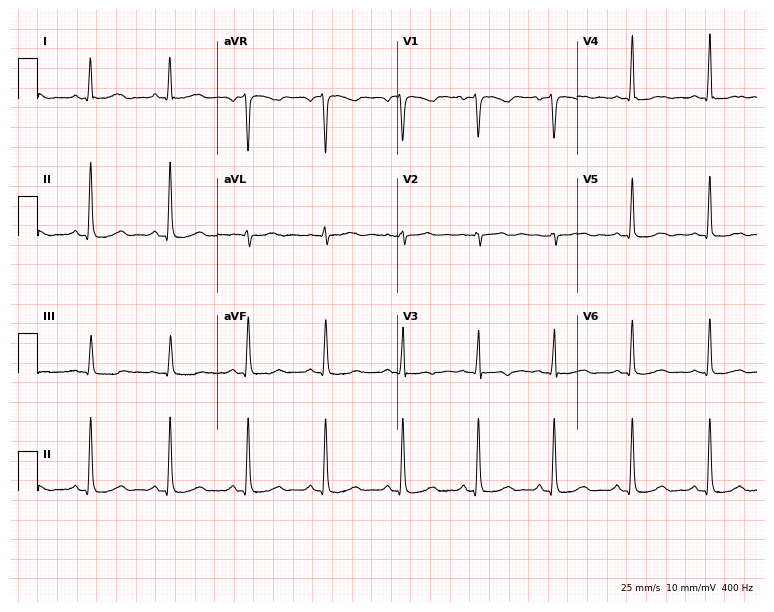
12-lead ECG (7.3-second recording at 400 Hz) from a 53-year-old female. Screened for six findings — first-degree AV block, right bundle branch block, left bundle branch block, sinus bradycardia, atrial fibrillation, sinus tachycardia — none is recorded.